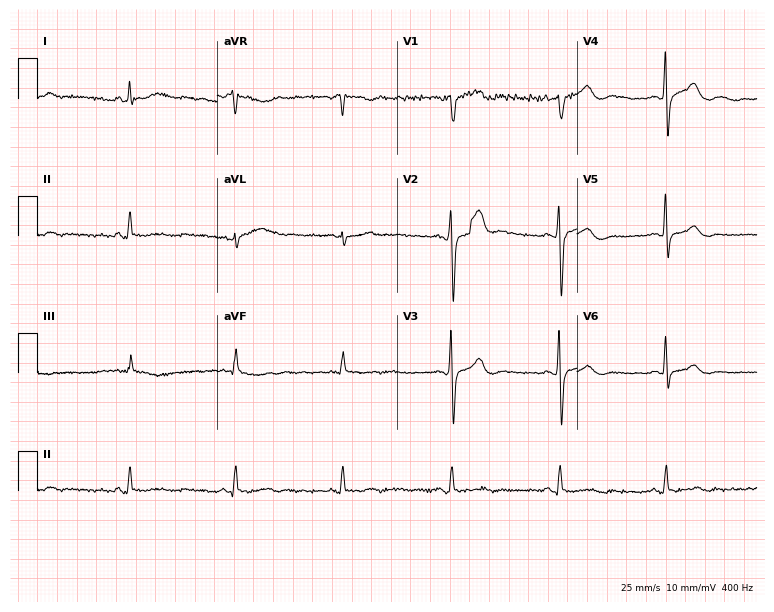
Resting 12-lead electrocardiogram. Patient: a 70-year-old male. None of these six findings is recorded: first-degree AV block, right bundle branch block (RBBB), left bundle branch block (LBBB), sinus bradycardia, atrial fibrillation (AF), sinus tachycardia.